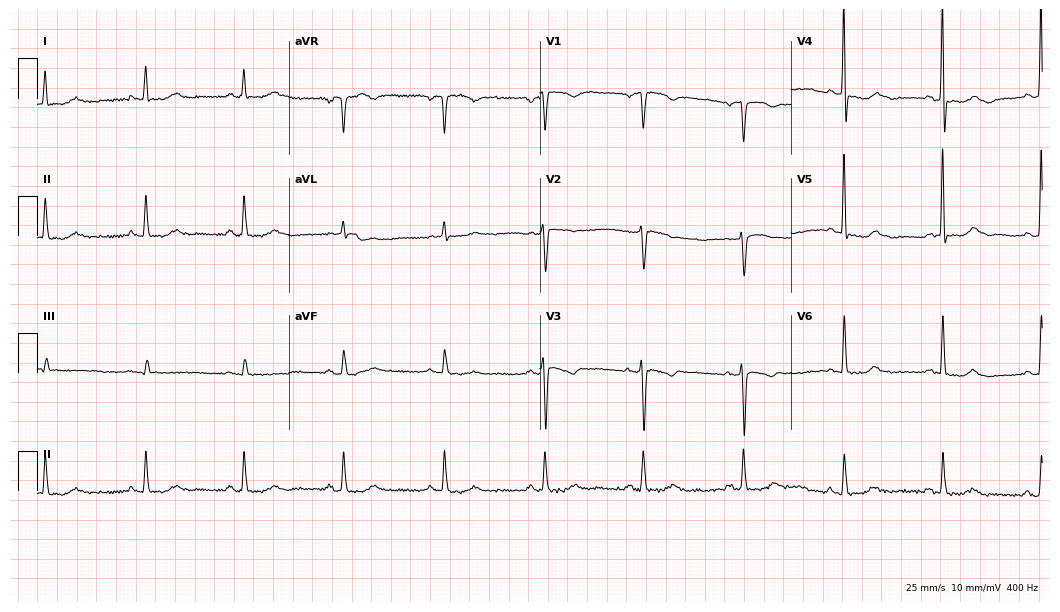
12-lead ECG from a 73-year-old female patient (10.2-second recording at 400 Hz). No first-degree AV block, right bundle branch block (RBBB), left bundle branch block (LBBB), sinus bradycardia, atrial fibrillation (AF) or sinus tachycardia recorded for this tracing.